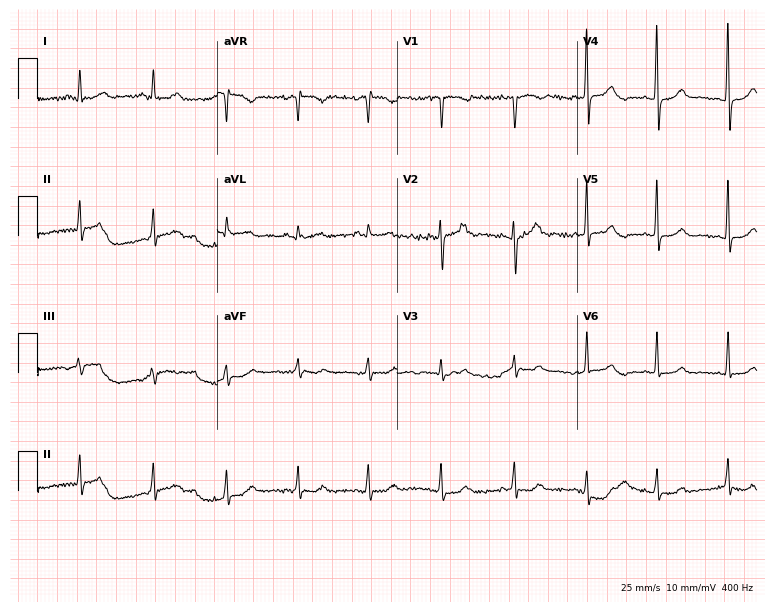
Electrocardiogram (7.3-second recording at 400 Hz), a 26-year-old female. Overall reading on record: normal ECG.